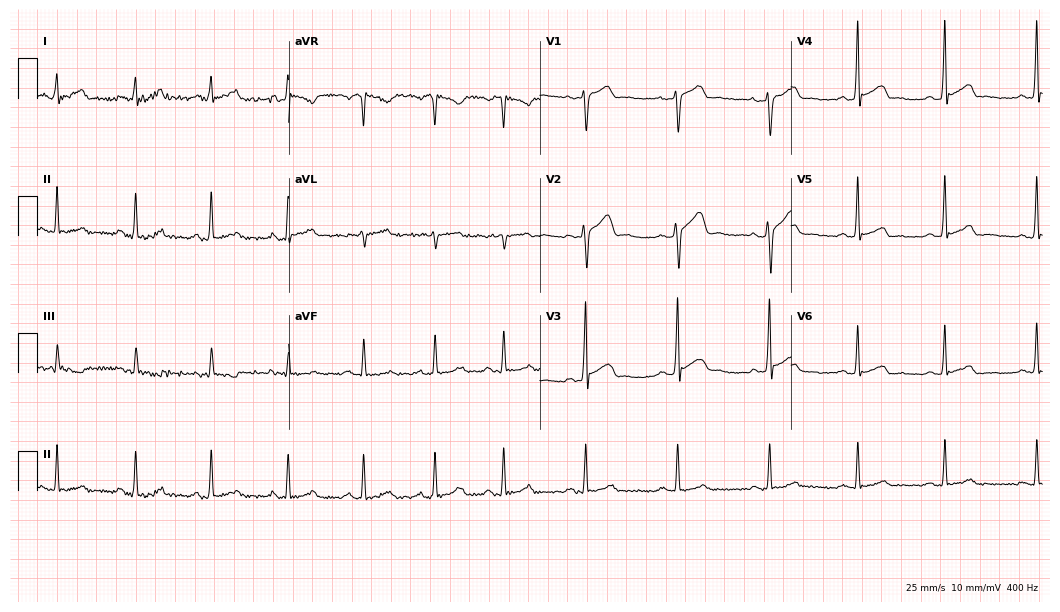
12-lead ECG from a 31-year-old male. No first-degree AV block, right bundle branch block, left bundle branch block, sinus bradycardia, atrial fibrillation or sinus tachycardia recorded for this tracing.